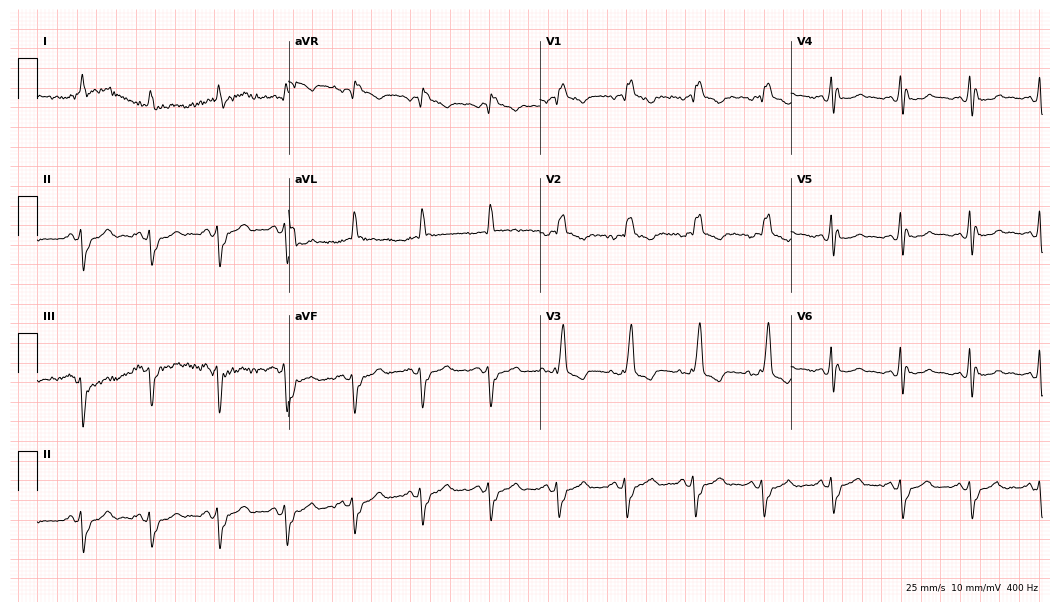
12-lead ECG from an 83-year-old male (10.2-second recording at 400 Hz). Shows right bundle branch block.